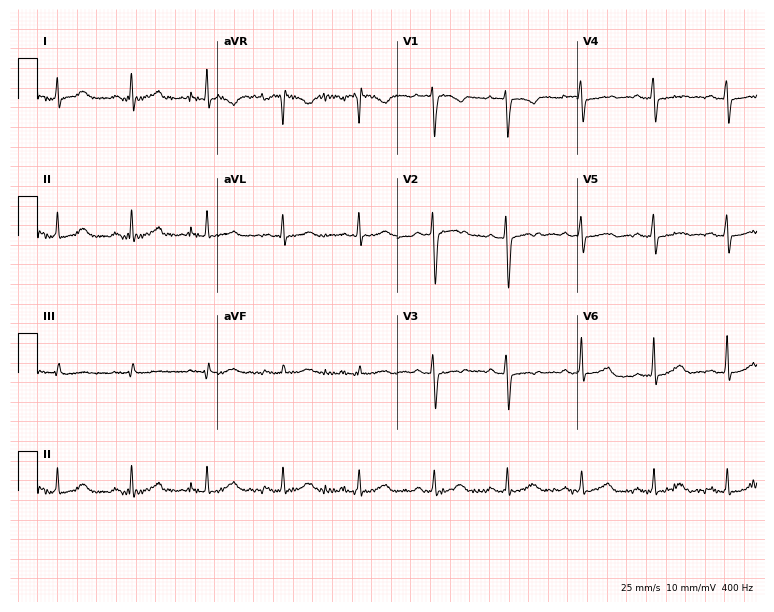
Resting 12-lead electrocardiogram (7.3-second recording at 400 Hz). Patient: a 41-year-old woman. None of these six findings is recorded: first-degree AV block, right bundle branch block (RBBB), left bundle branch block (LBBB), sinus bradycardia, atrial fibrillation (AF), sinus tachycardia. Other findings, if any, are not listed.